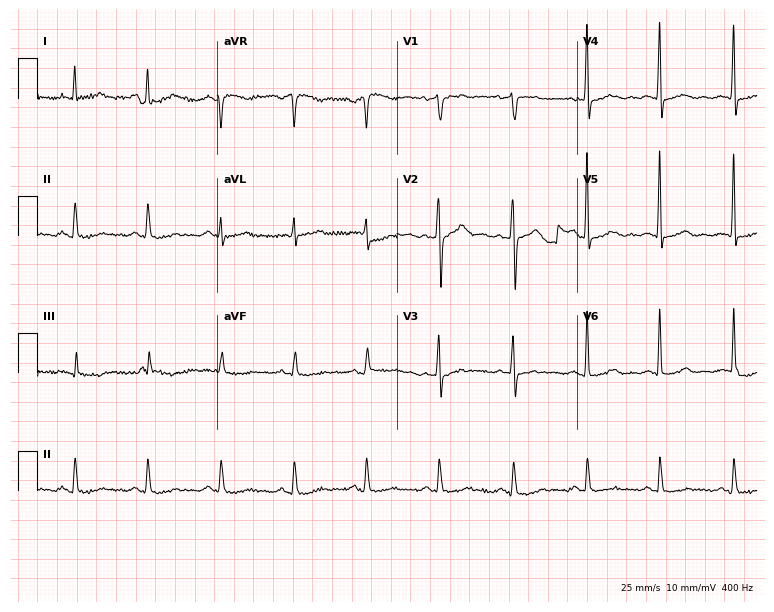
12-lead ECG from a 55-year-old male patient (7.3-second recording at 400 Hz). No first-degree AV block, right bundle branch block, left bundle branch block, sinus bradycardia, atrial fibrillation or sinus tachycardia recorded for this tracing.